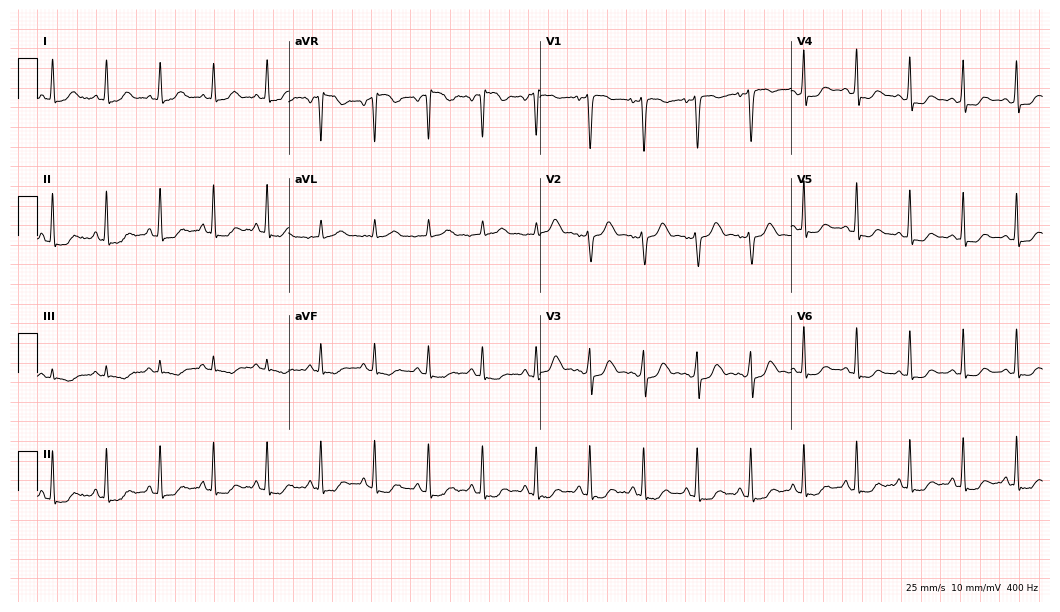
ECG — a female patient, 46 years old. Screened for six findings — first-degree AV block, right bundle branch block, left bundle branch block, sinus bradycardia, atrial fibrillation, sinus tachycardia — none is recorded. Findings outside these six are not listed.